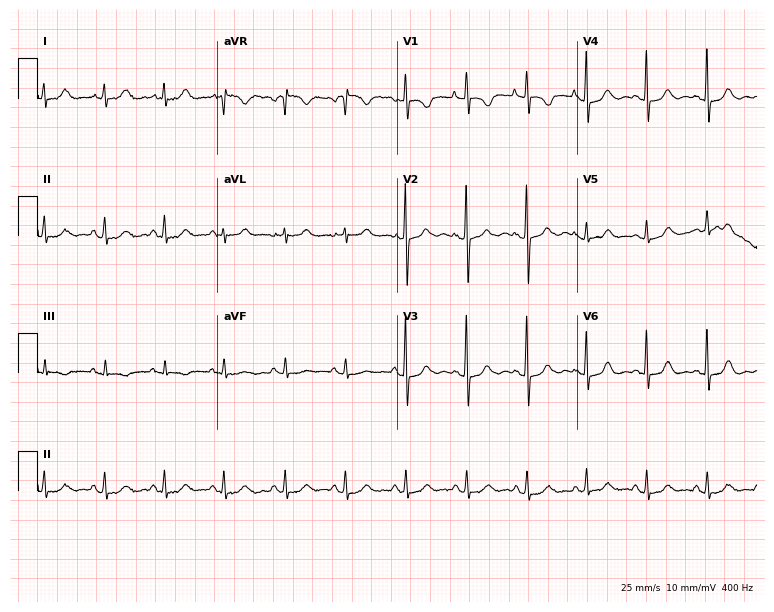
Standard 12-lead ECG recorded from a 79-year-old female patient. None of these six findings is recorded: first-degree AV block, right bundle branch block, left bundle branch block, sinus bradycardia, atrial fibrillation, sinus tachycardia. Only these six findings were labelled.